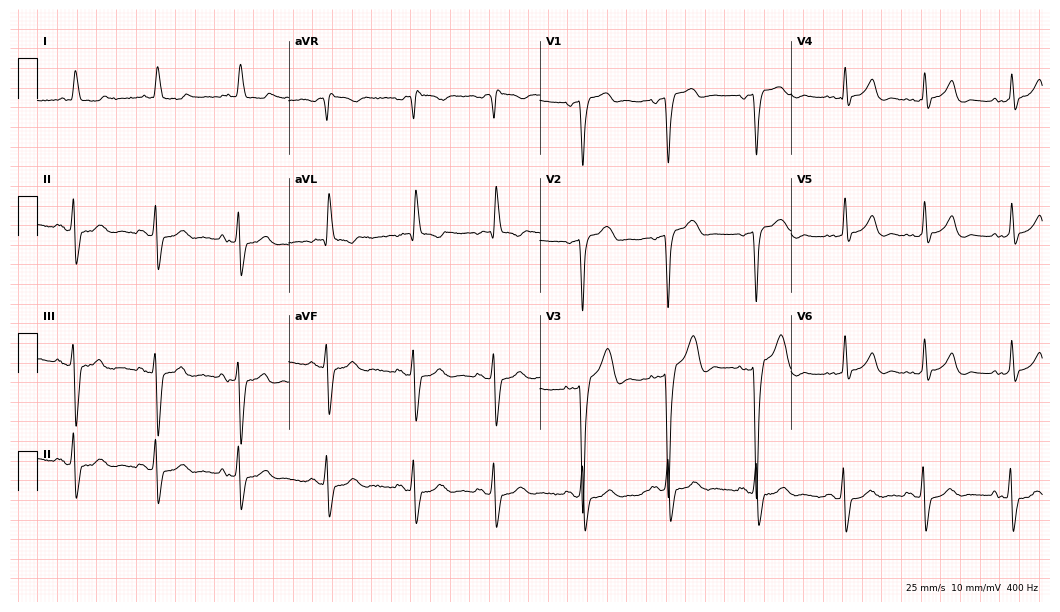
Standard 12-lead ECG recorded from a male, 83 years old (10.2-second recording at 400 Hz). The tracing shows left bundle branch block (LBBB).